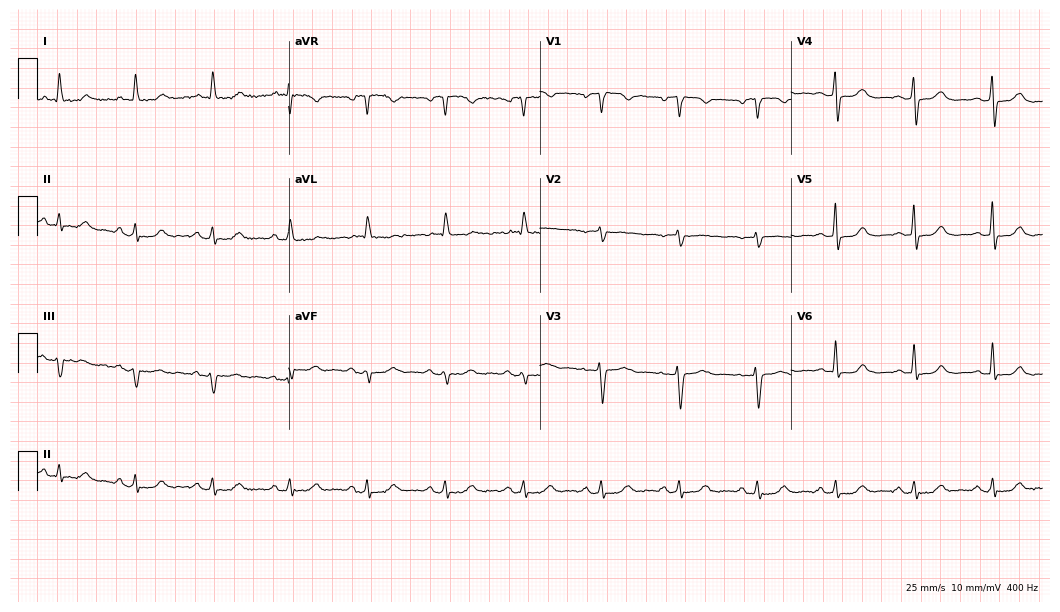
ECG (10.2-second recording at 400 Hz) — a 69-year-old female patient. Screened for six findings — first-degree AV block, right bundle branch block, left bundle branch block, sinus bradycardia, atrial fibrillation, sinus tachycardia — none is recorded.